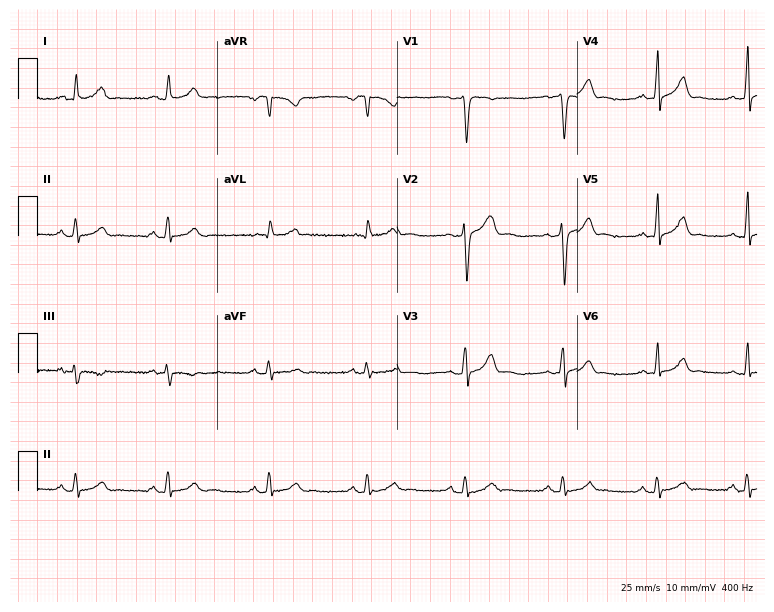
Resting 12-lead electrocardiogram (7.3-second recording at 400 Hz). Patient: a male, 32 years old. Read as a normal ECG.